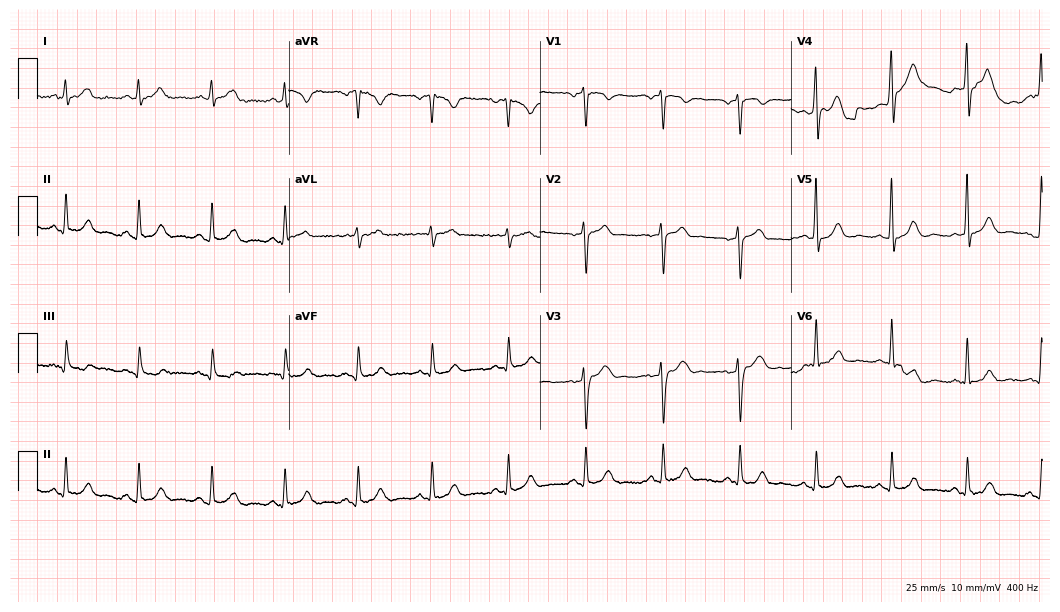
12-lead ECG from a 31-year-old man (10.2-second recording at 400 Hz). Recorded interpretation: within normal limits.